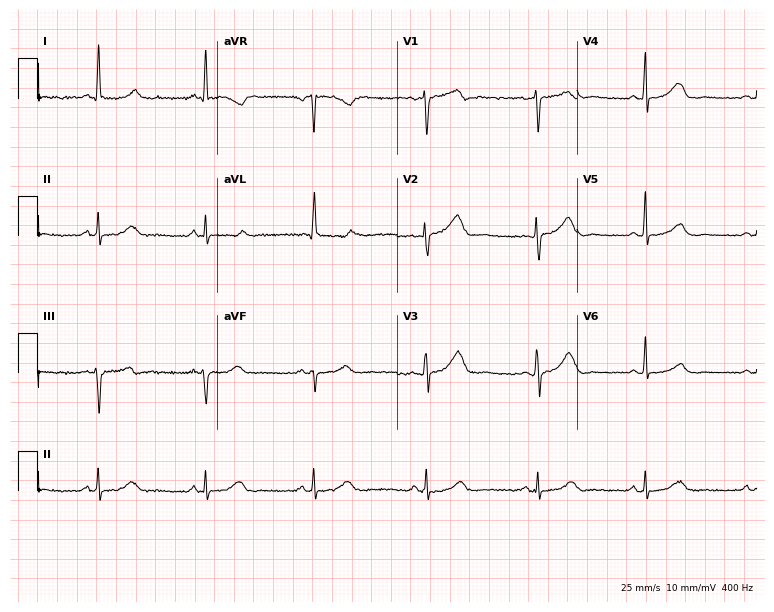
12-lead ECG from a 62-year-old female. Screened for six findings — first-degree AV block, right bundle branch block, left bundle branch block, sinus bradycardia, atrial fibrillation, sinus tachycardia — none is recorded.